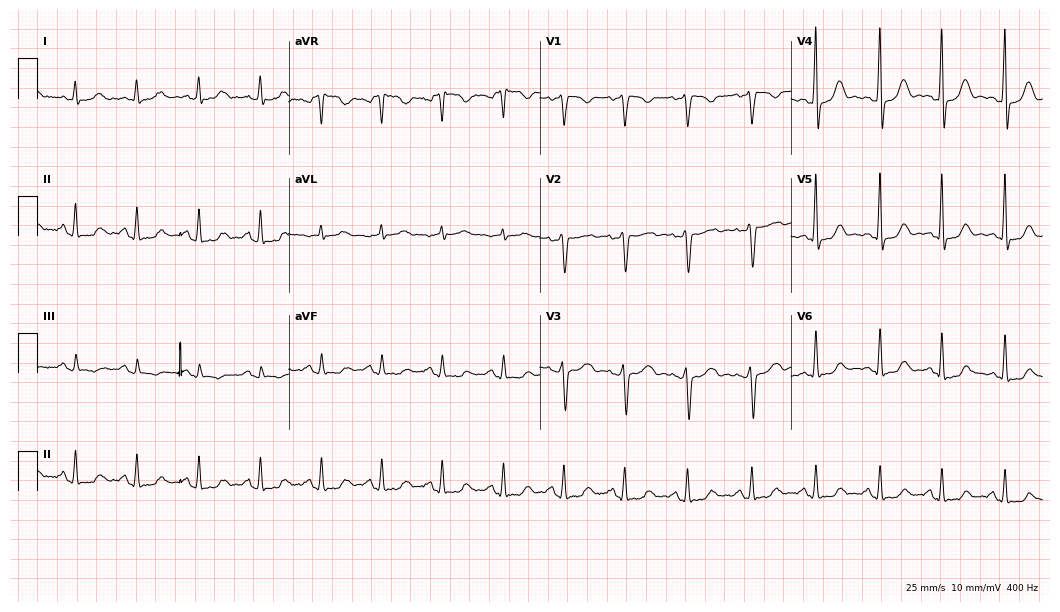
Resting 12-lead electrocardiogram. Patient: a female, 52 years old. None of these six findings is recorded: first-degree AV block, right bundle branch block, left bundle branch block, sinus bradycardia, atrial fibrillation, sinus tachycardia. Only these six findings were labelled.